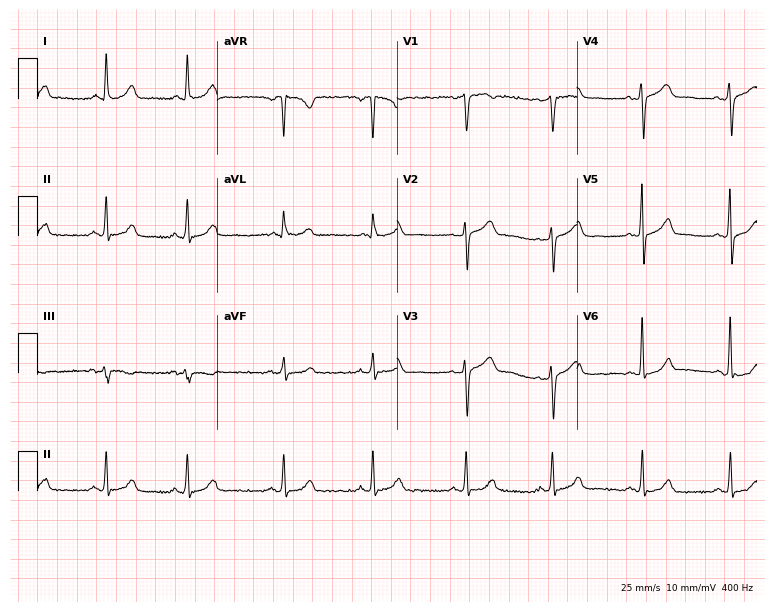
ECG (7.3-second recording at 400 Hz) — a woman, 46 years old. Labelled as a normal ECG.